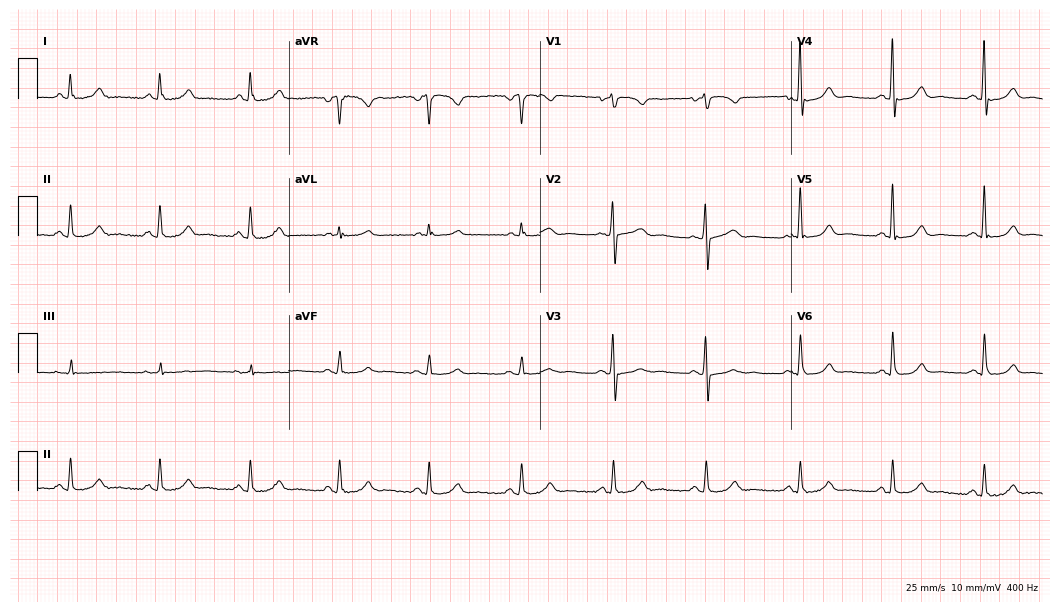
Standard 12-lead ECG recorded from a woman, 62 years old (10.2-second recording at 400 Hz). Read as a normal ECG.